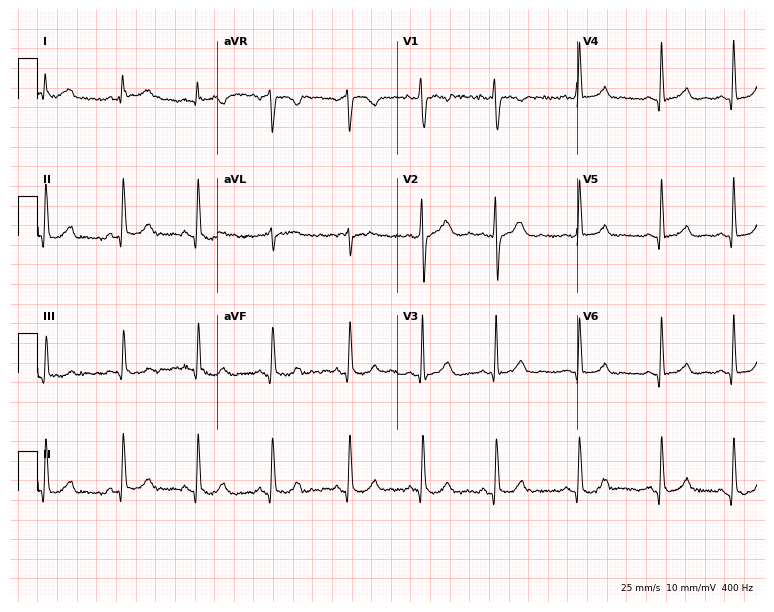
12-lead ECG from a female, 17 years old (7.3-second recording at 400 Hz). Recorded interpretation: within normal limits.